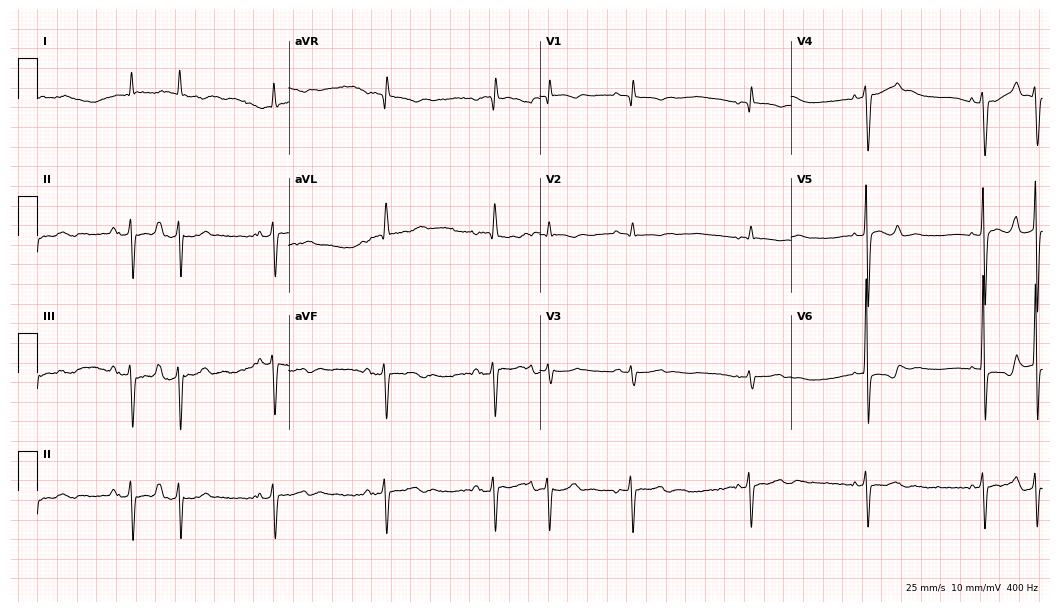
Electrocardiogram (10.2-second recording at 400 Hz), an 85-year-old male. Of the six screened findings (first-degree AV block, right bundle branch block, left bundle branch block, sinus bradycardia, atrial fibrillation, sinus tachycardia), none is recorded. Findings outside these six are not listed.